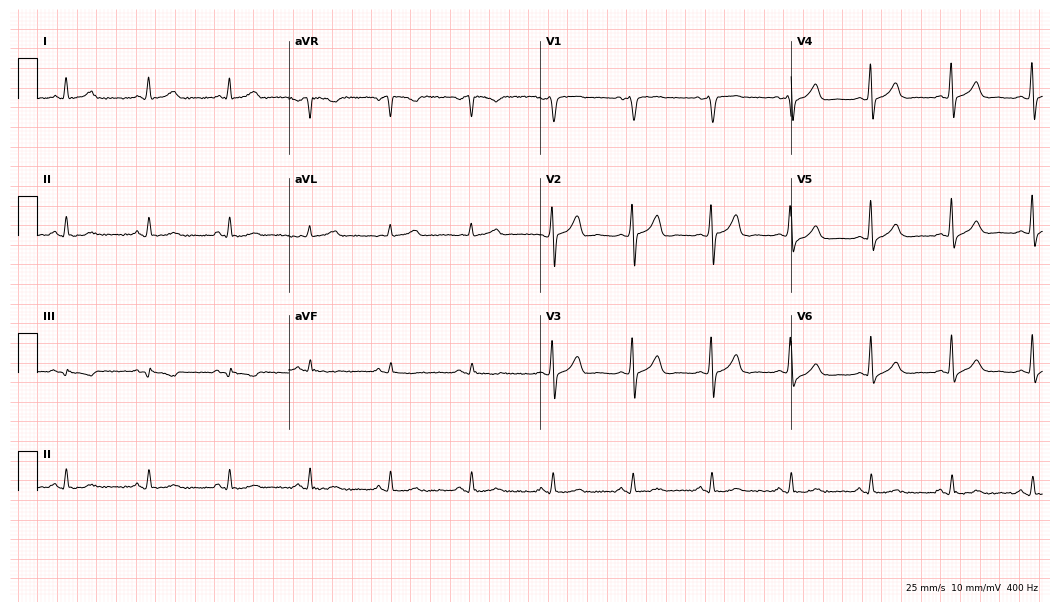
Resting 12-lead electrocardiogram. Patient: a 53-year-old man. Read as a normal ECG.